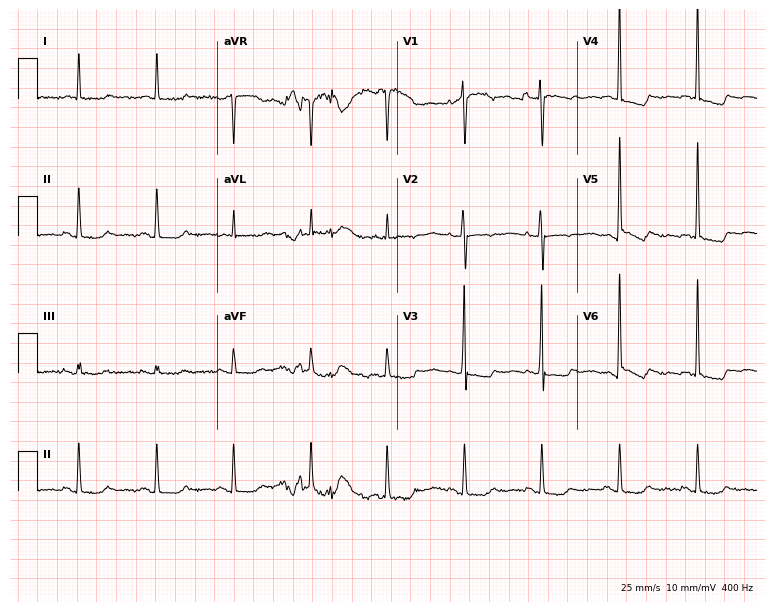
12-lead ECG from an 82-year-old male patient (7.3-second recording at 400 Hz). No first-degree AV block, right bundle branch block (RBBB), left bundle branch block (LBBB), sinus bradycardia, atrial fibrillation (AF) or sinus tachycardia recorded for this tracing.